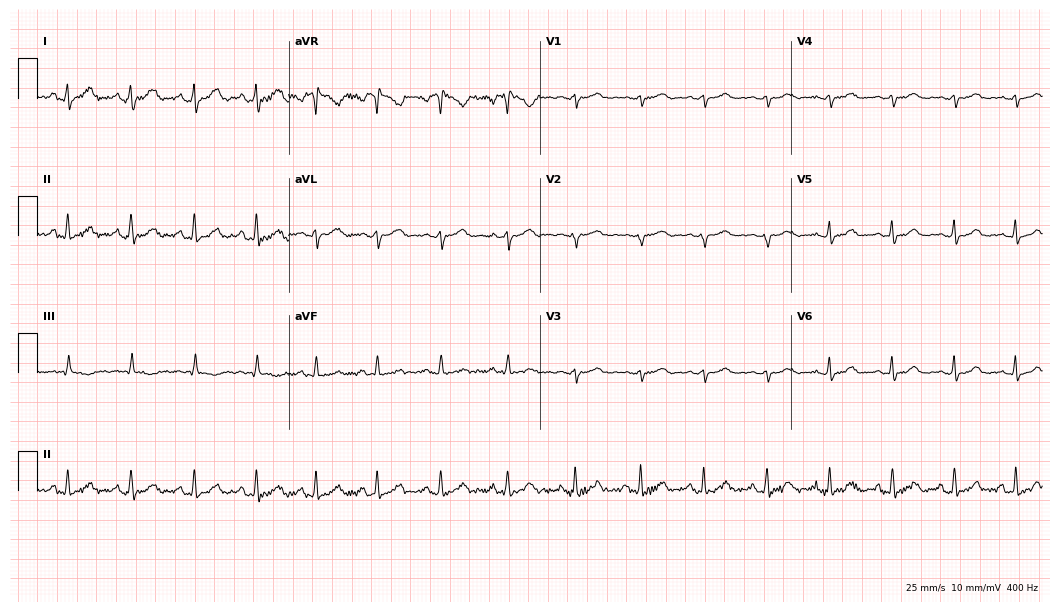
12-lead ECG from a female patient, 31 years old. Recorded interpretation: within normal limits.